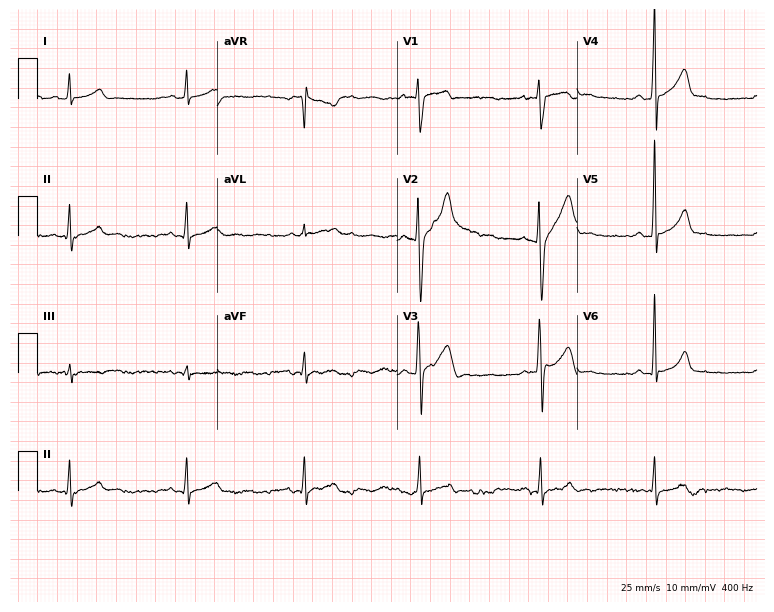
Standard 12-lead ECG recorded from a male, 20 years old. The tracing shows sinus bradycardia (a sinus rate of 50 beats per minute or less).